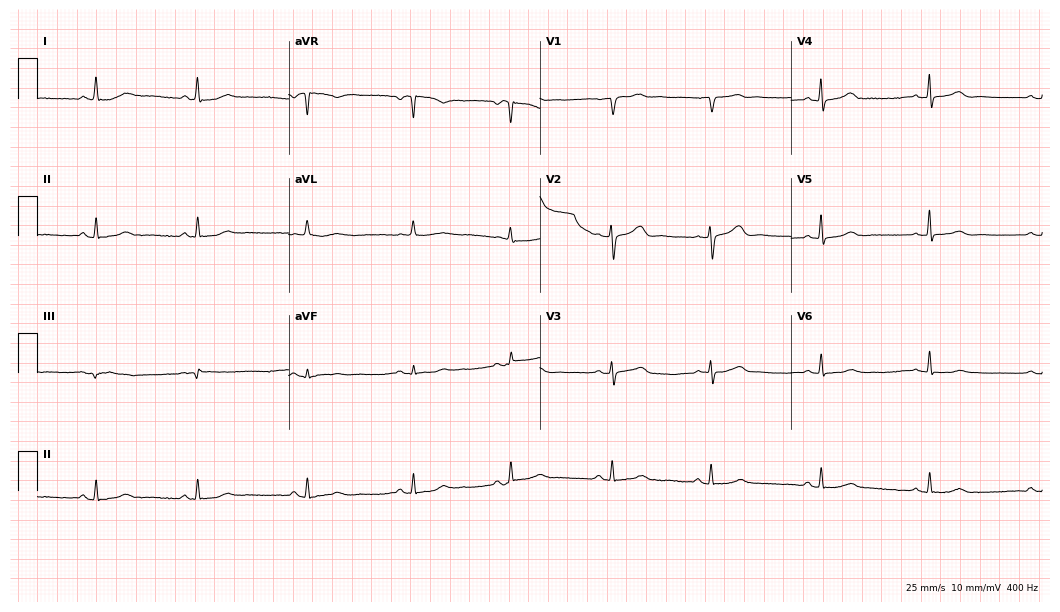
Electrocardiogram, a 79-year-old female. Of the six screened findings (first-degree AV block, right bundle branch block (RBBB), left bundle branch block (LBBB), sinus bradycardia, atrial fibrillation (AF), sinus tachycardia), none is recorded.